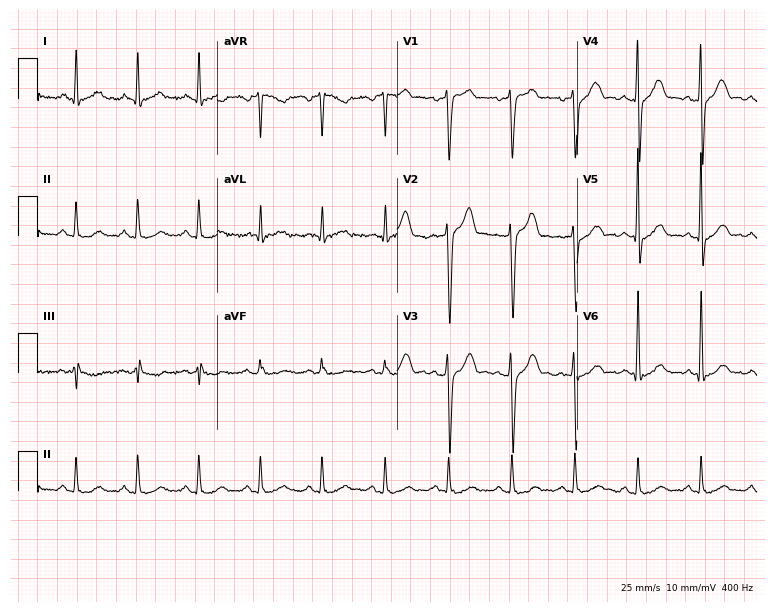
12-lead ECG (7.3-second recording at 400 Hz) from a 57-year-old man. Labelled as a normal ECG.